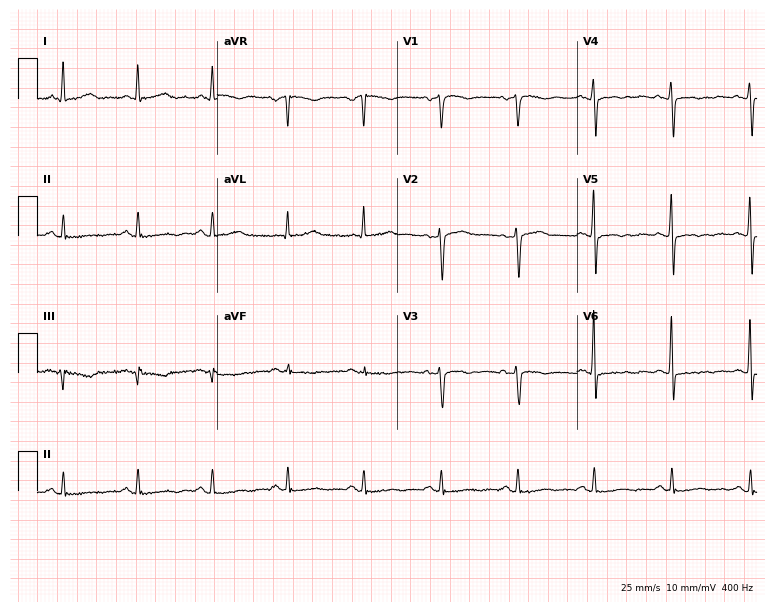
Electrocardiogram, a female patient, 62 years old. Overall reading on record: normal ECG.